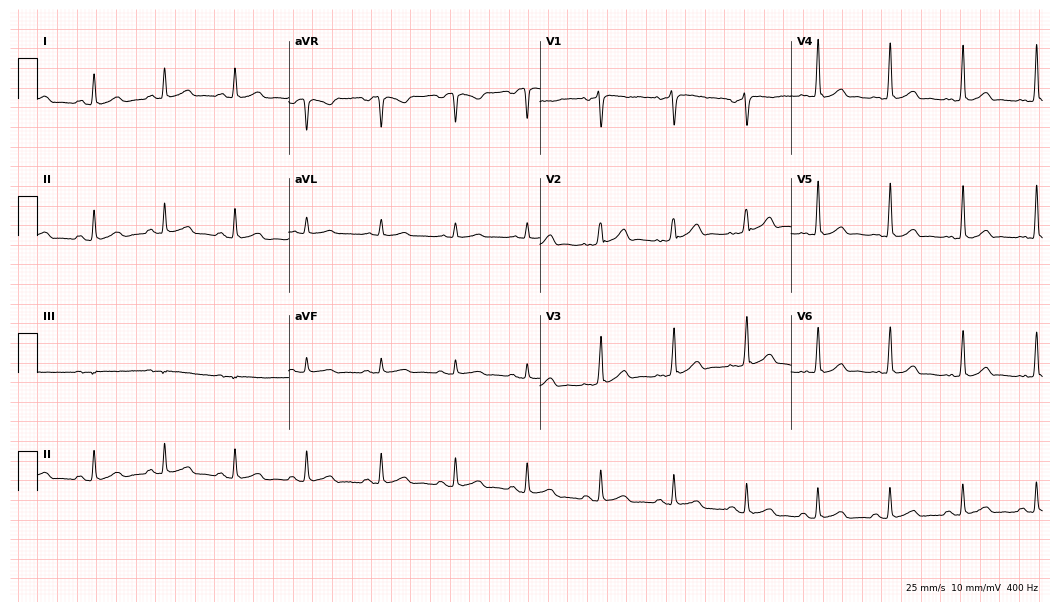
Electrocardiogram, a male, 33 years old. Overall reading on record: normal ECG.